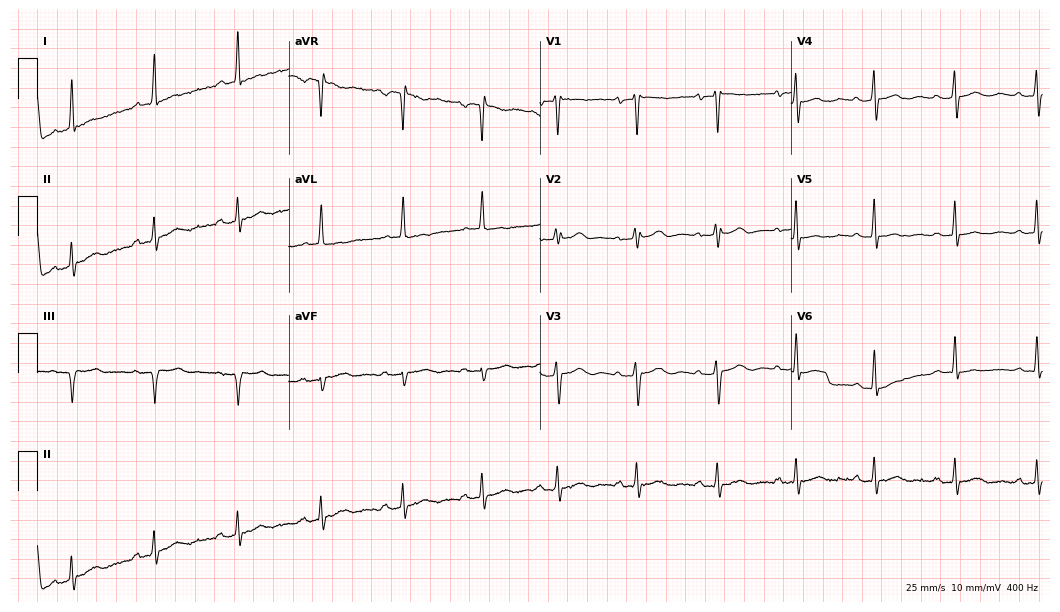
ECG — a woman, 44 years old. Screened for six findings — first-degree AV block, right bundle branch block, left bundle branch block, sinus bradycardia, atrial fibrillation, sinus tachycardia — none is recorded.